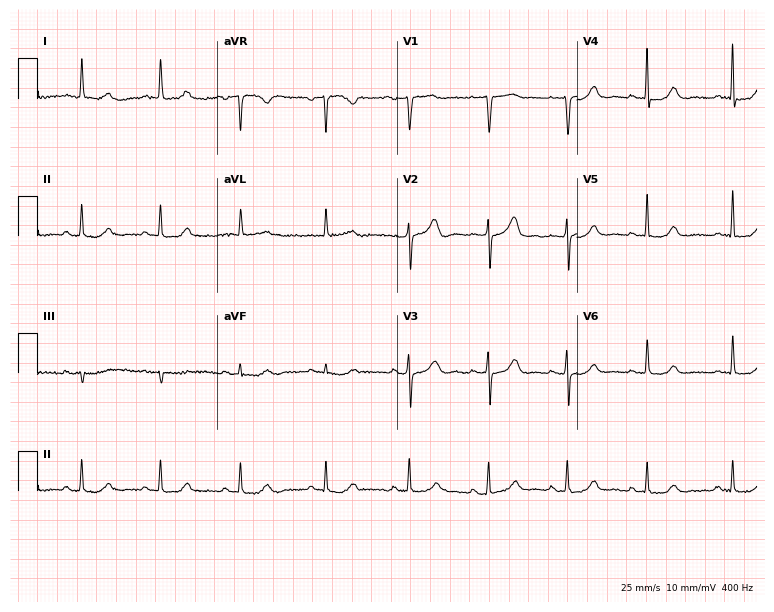
Standard 12-lead ECG recorded from an 84-year-old woman (7.3-second recording at 400 Hz). Read as a normal ECG.